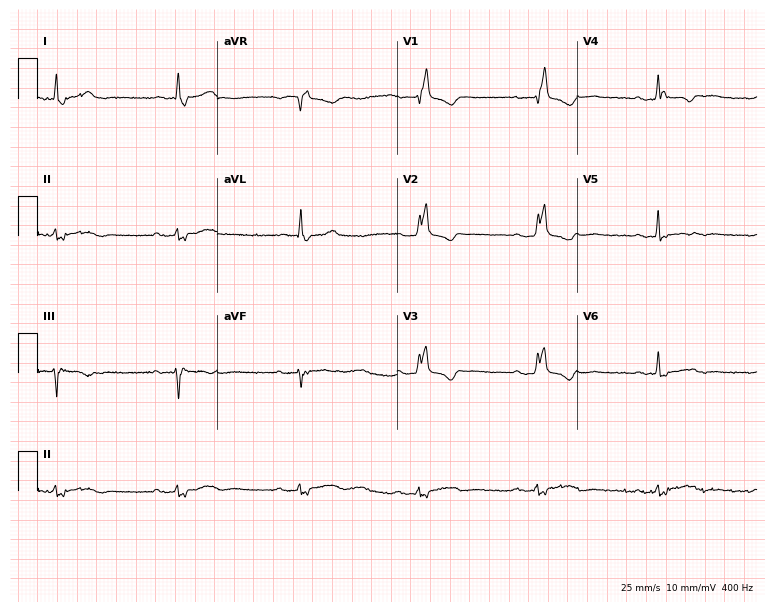
Resting 12-lead electrocardiogram (7.3-second recording at 400 Hz). Patient: a female, 67 years old. The tracing shows right bundle branch block.